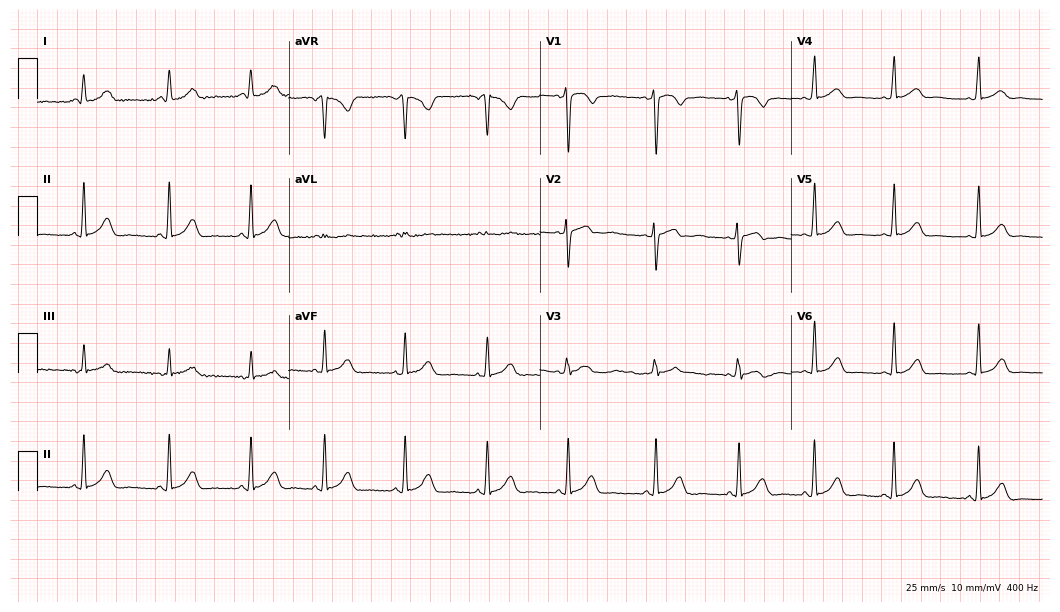
ECG — a female patient, 20 years old. Labelled as a normal ECG.